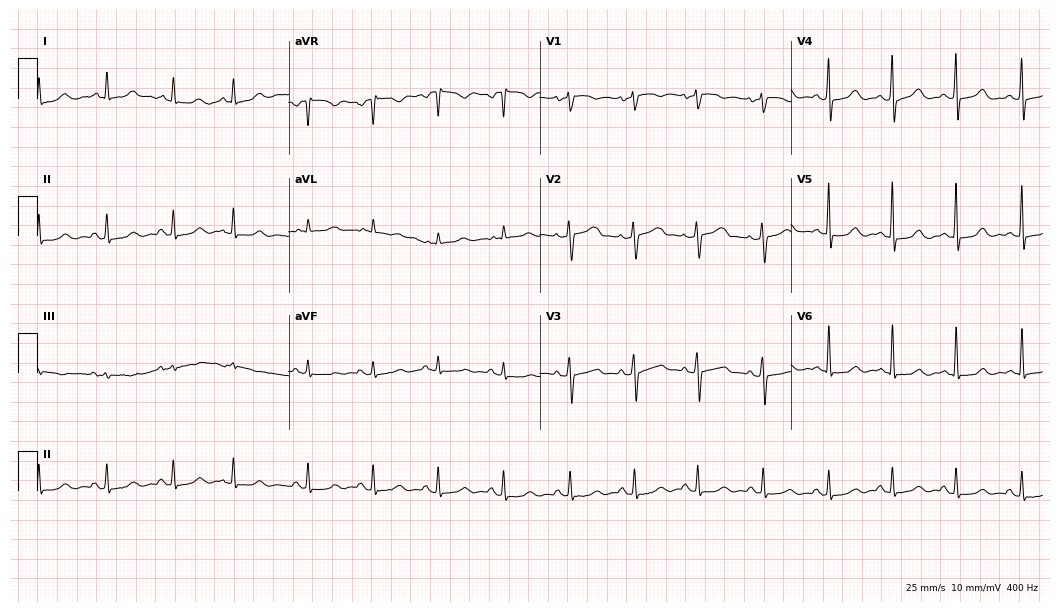
ECG (10.2-second recording at 400 Hz) — a female, 68 years old. Screened for six findings — first-degree AV block, right bundle branch block, left bundle branch block, sinus bradycardia, atrial fibrillation, sinus tachycardia — none is recorded.